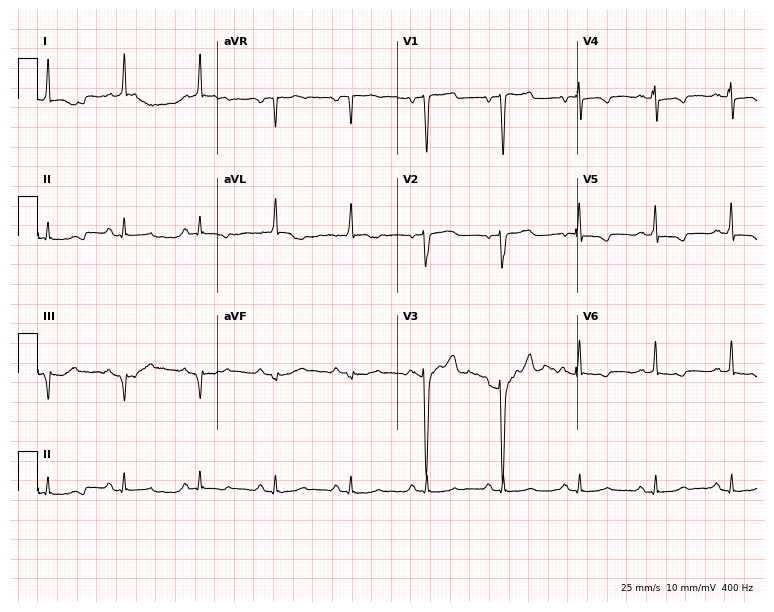
Electrocardiogram (7.3-second recording at 400 Hz), a 66-year-old man. Of the six screened findings (first-degree AV block, right bundle branch block, left bundle branch block, sinus bradycardia, atrial fibrillation, sinus tachycardia), none is recorded.